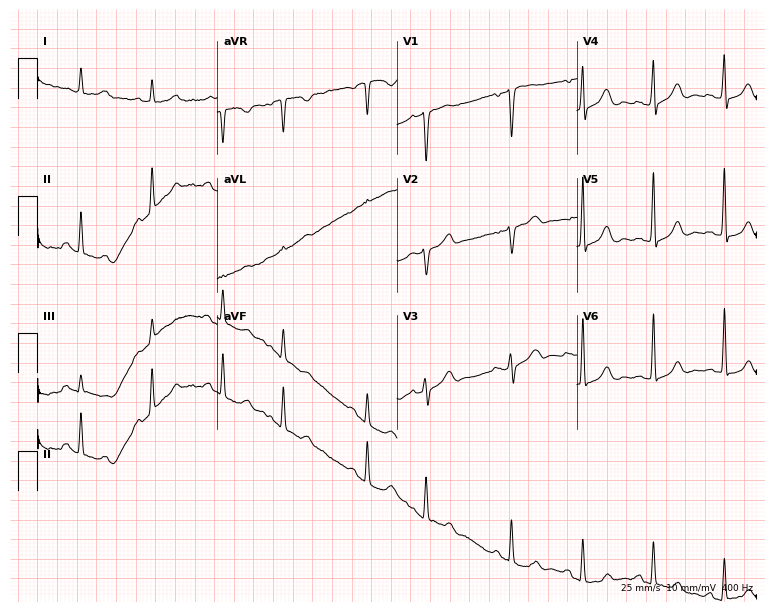
ECG — a 59-year-old woman. Screened for six findings — first-degree AV block, right bundle branch block (RBBB), left bundle branch block (LBBB), sinus bradycardia, atrial fibrillation (AF), sinus tachycardia — none is recorded.